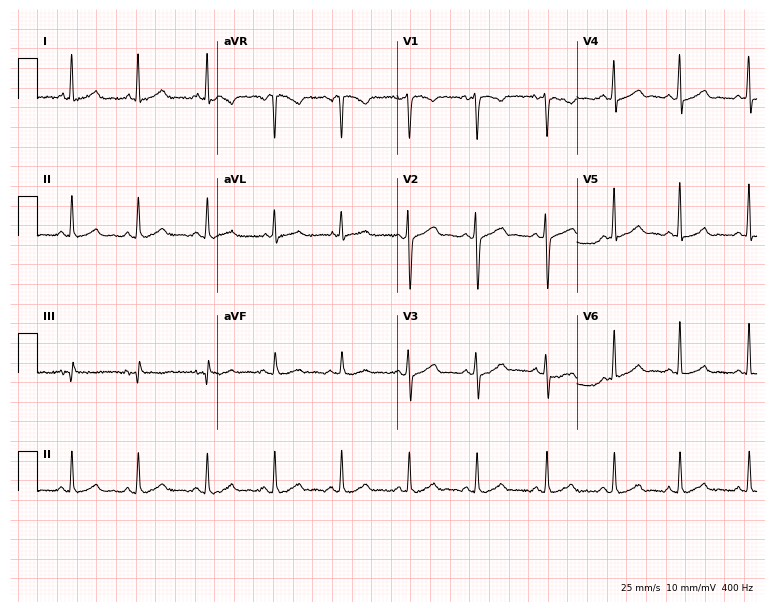
Resting 12-lead electrocardiogram. Patient: a female, 39 years old. Read as a normal ECG.